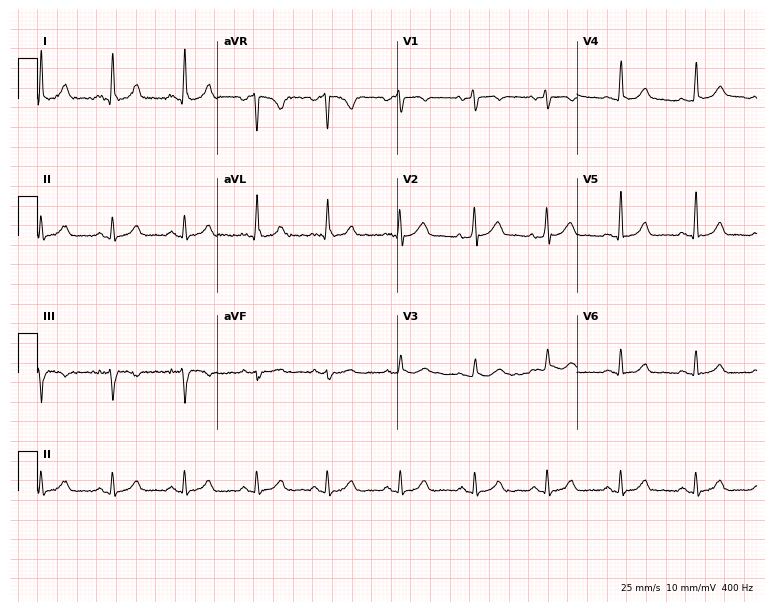
Electrocardiogram, a 46-year-old female. Overall reading on record: normal ECG.